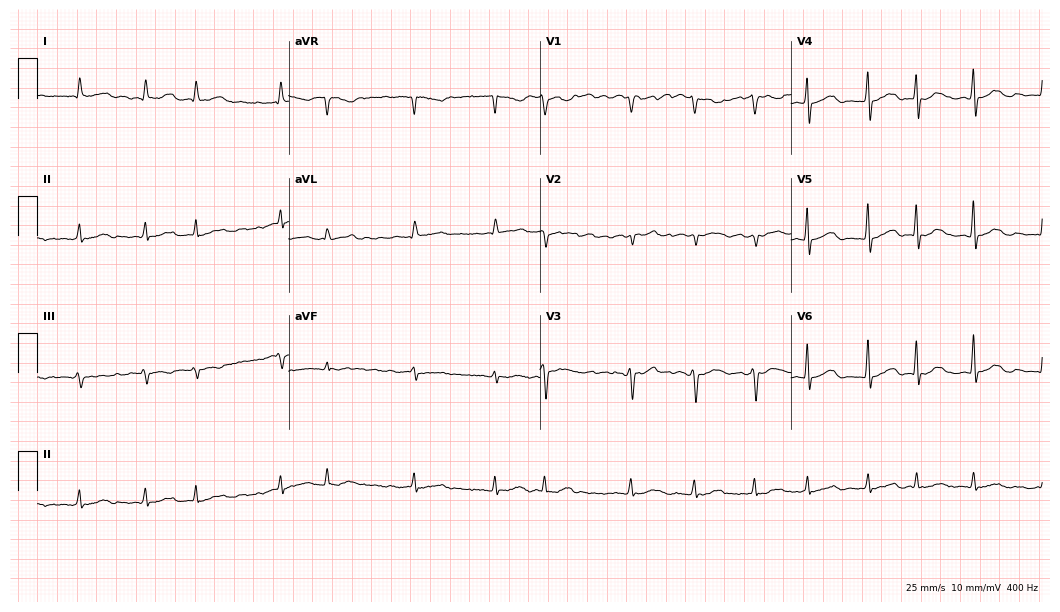
12-lead ECG from a 73-year-old woman (10.2-second recording at 400 Hz). Shows atrial fibrillation.